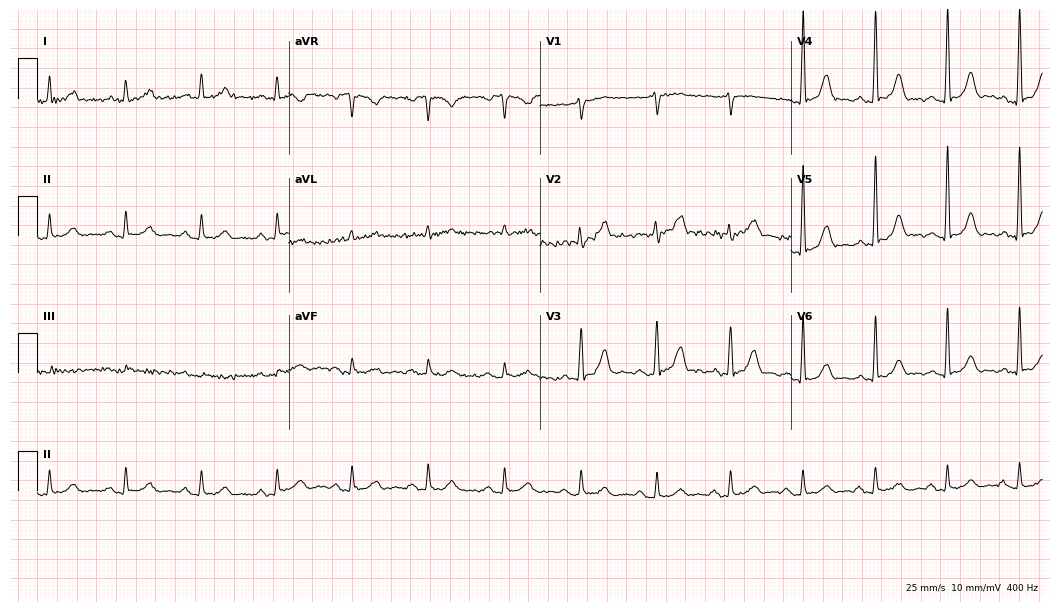
12-lead ECG from a 68-year-old male patient. No first-degree AV block, right bundle branch block, left bundle branch block, sinus bradycardia, atrial fibrillation or sinus tachycardia recorded for this tracing. Only these six findings were labelled.